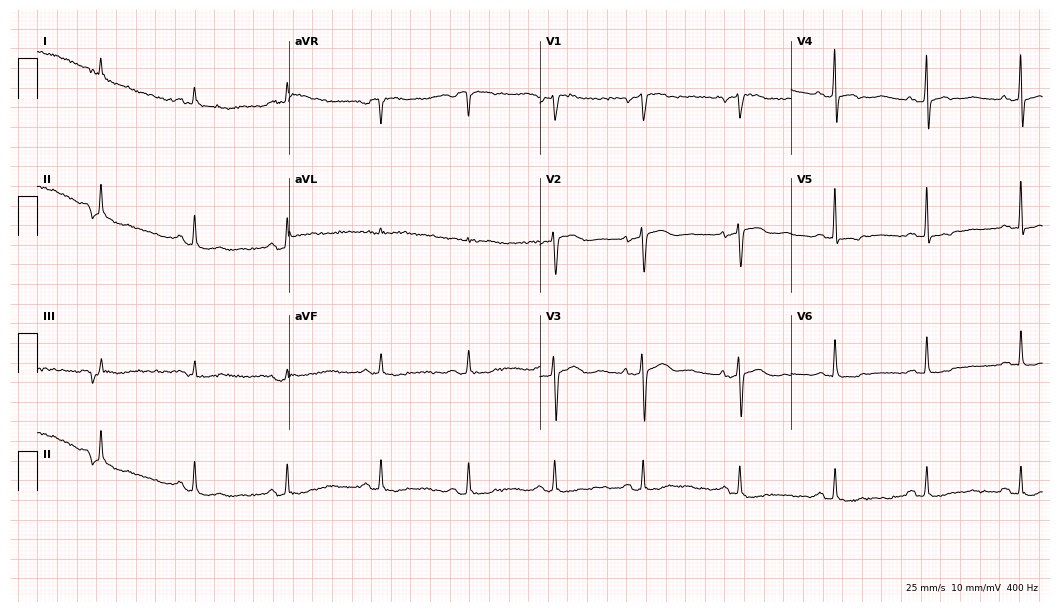
Standard 12-lead ECG recorded from a 53-year-old female patient. None of these six findings is recorded: first-degree AV block, right bundle branch block (RBBB), left bundle branch block (LBBB), sinus bradycardia, atrial fibrillation (AF), sinus tachycardia.